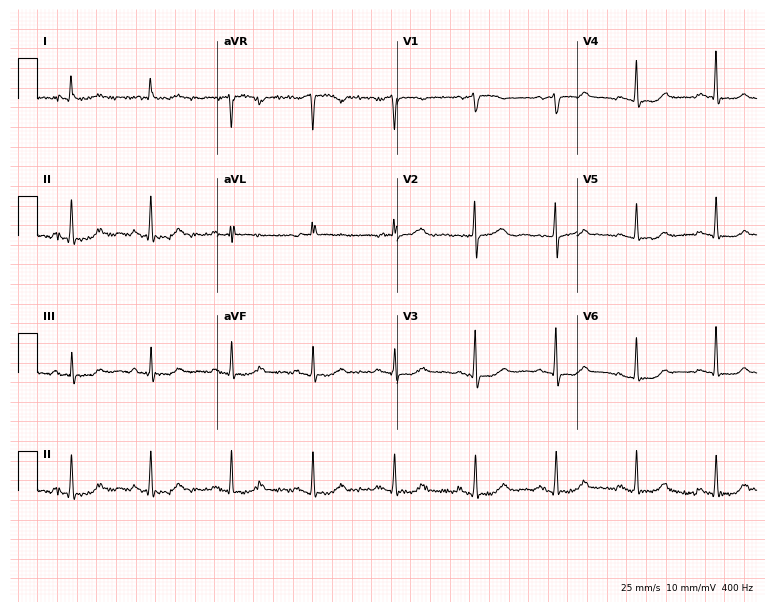
Electrocardiogram, a 66-year-old woman. Overall reading on record: normal ECG.